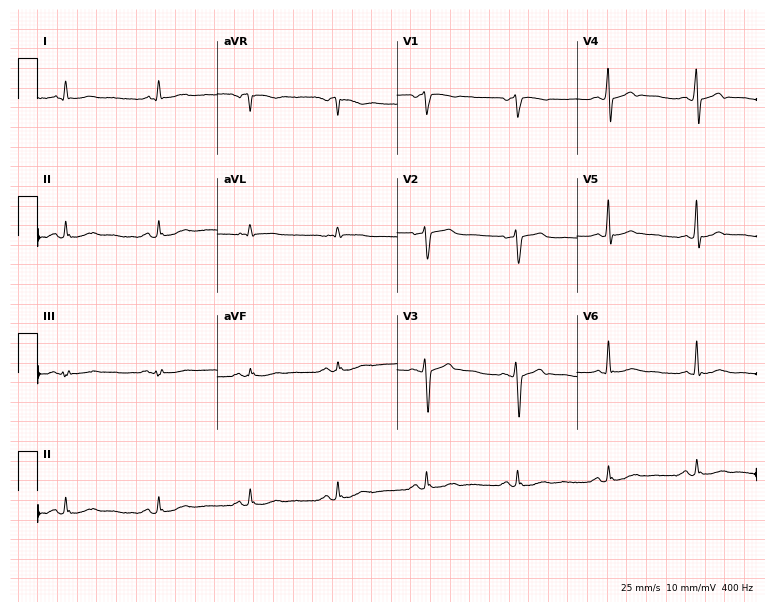
Electrocardiogram, a male patient, 61 years old. Of the six screened findings (first-degree AV block, right bundle branch block, left bundle branch block, sinus bradycardia, atrial fibrillation, sinus tachycardia), none is recorded.